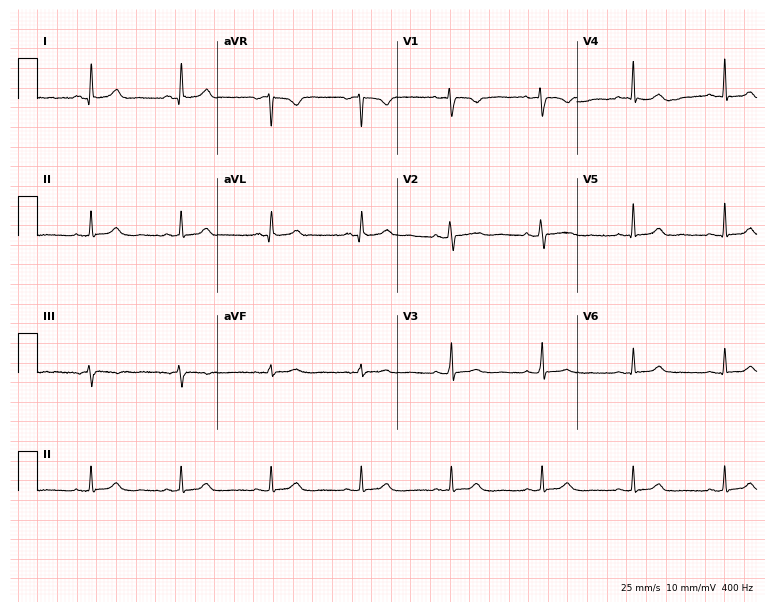
12-lead ECG (7.3-second recording at 400 Hz) from a 42-year-old woman. Labelled as a normal ECG.